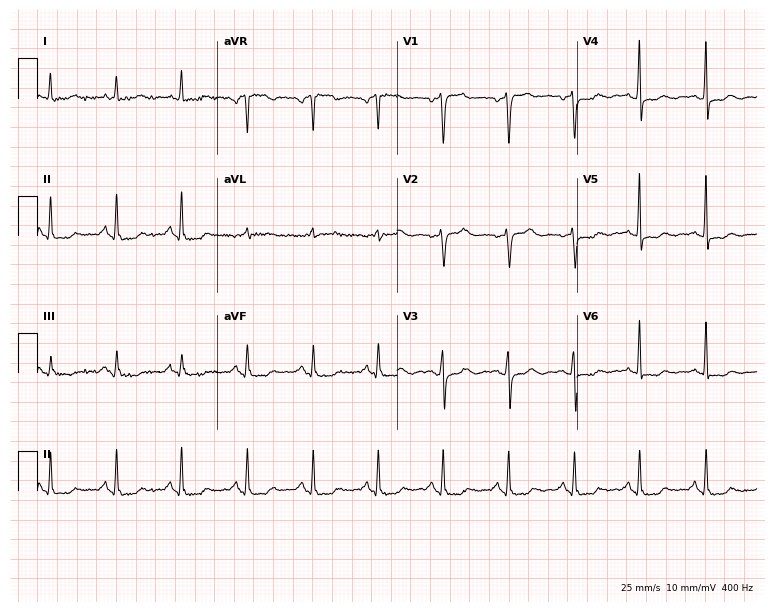
Resting 12-lead electrocardiogram. Patient: a 55-year-old woman. None of these six findings is recorded: first-degree AV block, right bundle branch block, left bundle branch block, sinus bradycardia, atrial fibrillation, sinus tachycardia. Other findings, if any, are not listed.